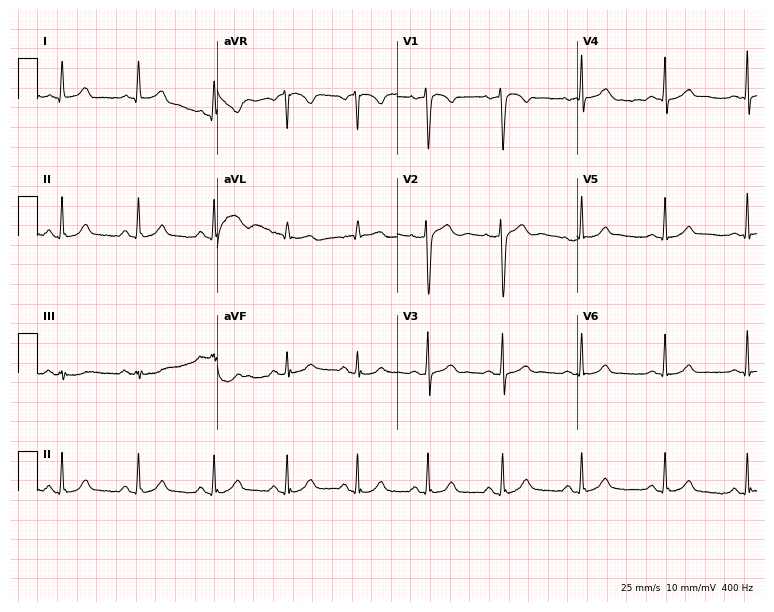
12-lead ECG from a female patient, 38 years old (7.3-second recording at 400 Hz). No first-degree AV block, right bundle branch block, left bundle branch block, sinus bradycardia, atrial fibrillation or sinus tachycardia recorded for this tracing.